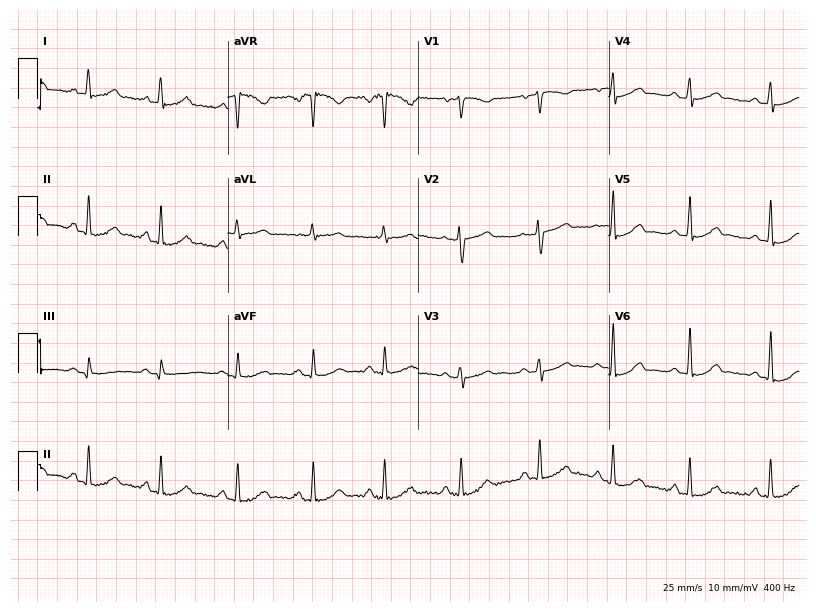
Resting 12-lead electrocardiogram (7.8-second recording at 400 Hz). Patient: a 34-year-old female. Read as a normal ECG.